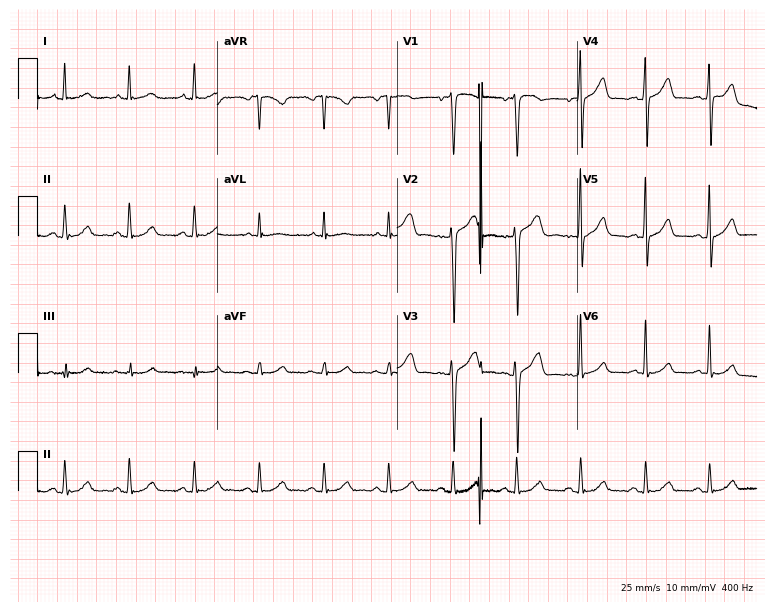
Resting 12-lead electrocardiogram. Patient: a woman, 62 years old. Read as a normal ECG.